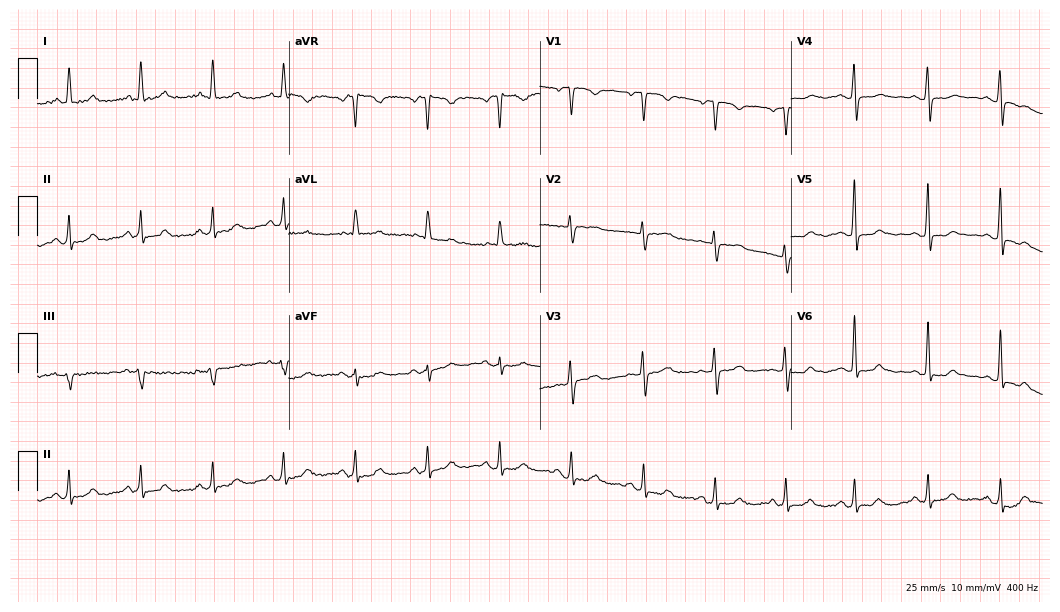
ECG — a female patient, 57 years old. Labelled as a normal ECG.